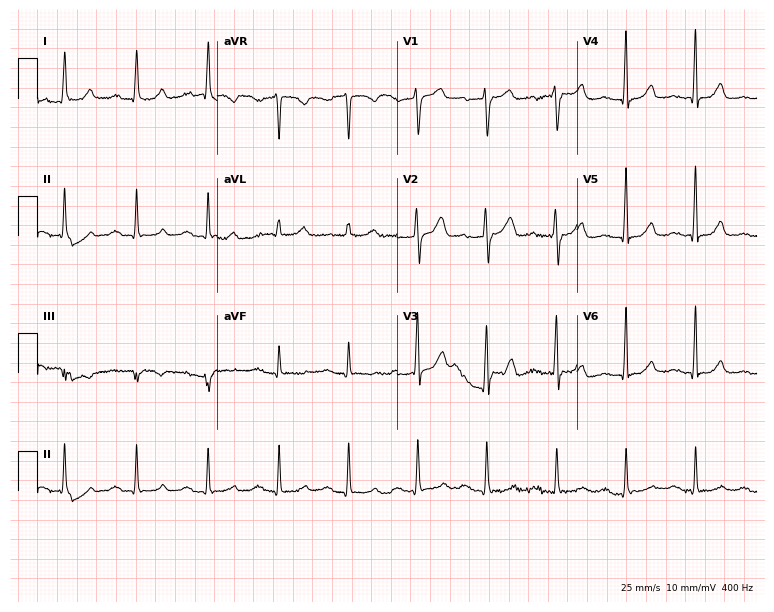
ECG — a female, 55 years old. Screened for six findings — first-degree AV block, right bundle branch block, left bundle branch block, sinus bradycardia, atrial fibrillation, sinus tachycardia — none is recorded.